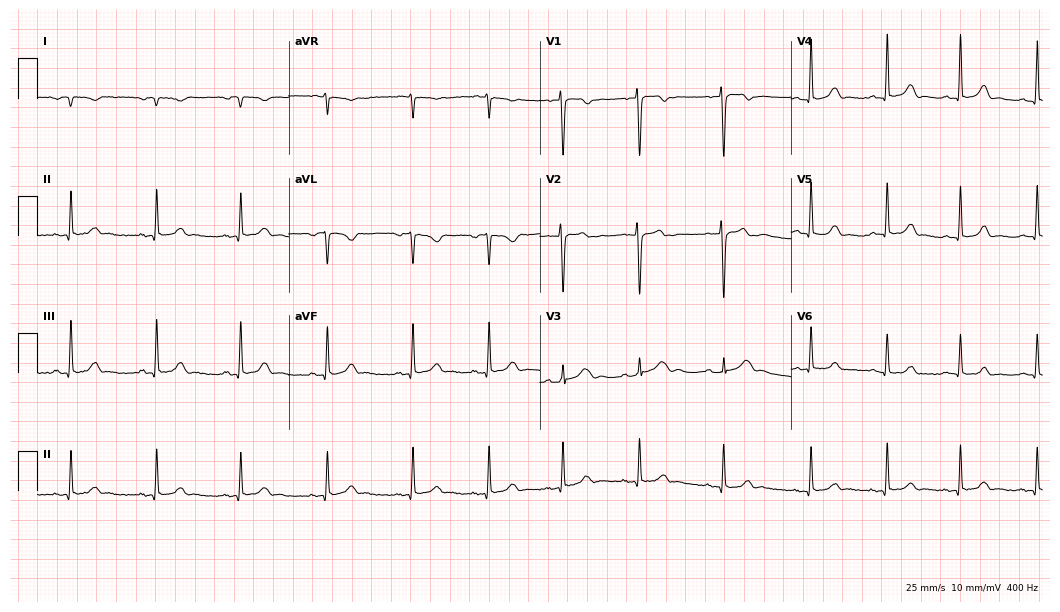
12-lead ECG (10.2-second recording at 400 Hz) from a female patient, 19 years old. Labelled as a normal ECG.